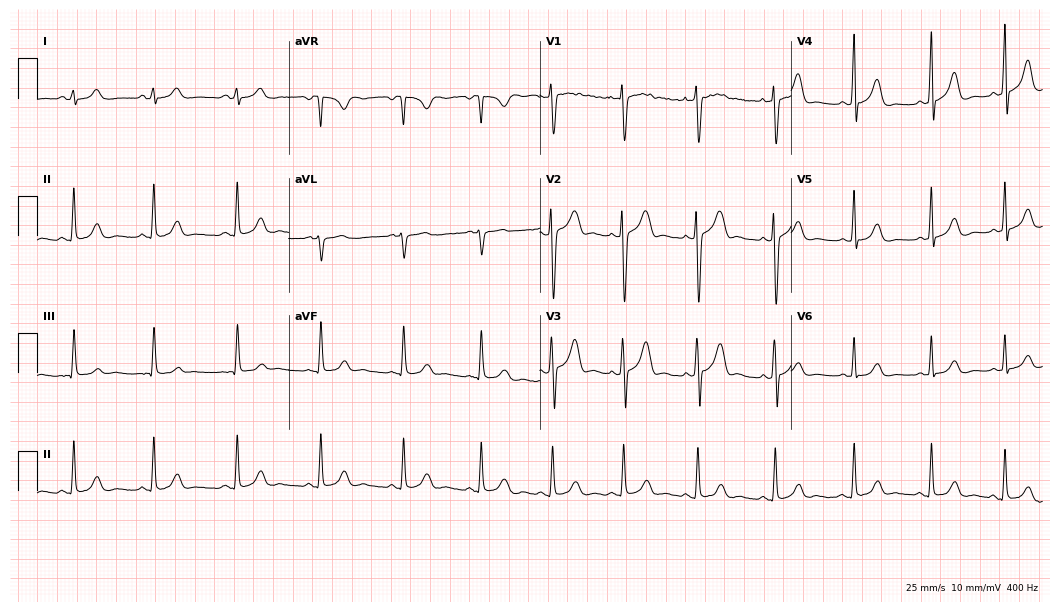
Resting 12-lead electrocardiogram. Patient: a 28-year-old woman. None of these six findings is recorded: first-degree AV block, right bundle branch block, left bundle branch block, sinus bradycardia, atrial fibrillation, sinus tachycardia.